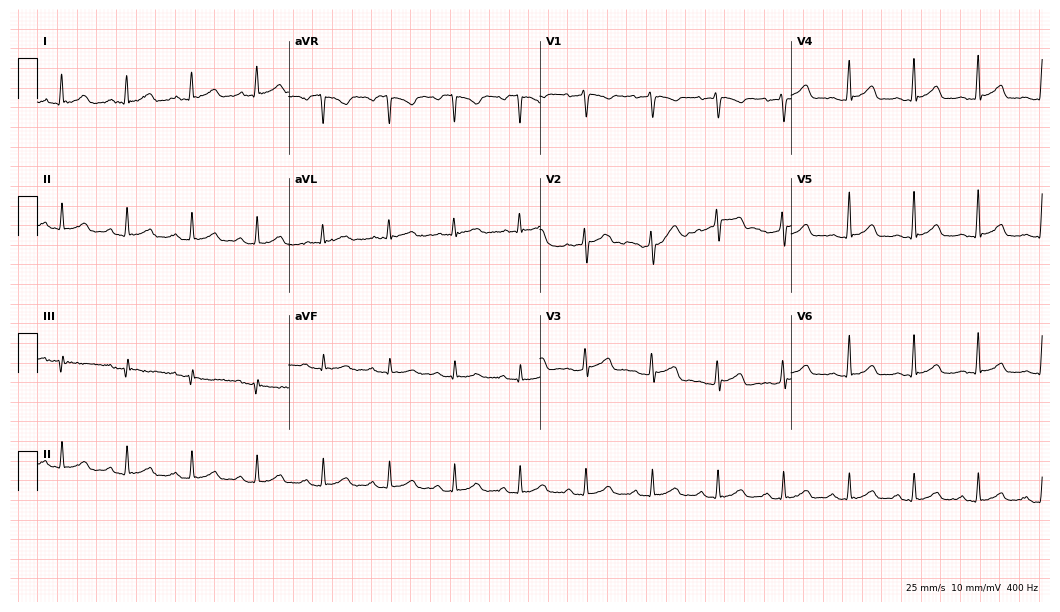
Resting 12-lead electrocardiogram (10.2-second recording at 400 Hz). Patient: a woman, 39 years old. None of these six findings is recorded: first-degree AV block, right bundle branch block, left bundle branch block, sinus bradycardia, atrial fibrillation, sinus tachycardia. Only these six findings were labelled.